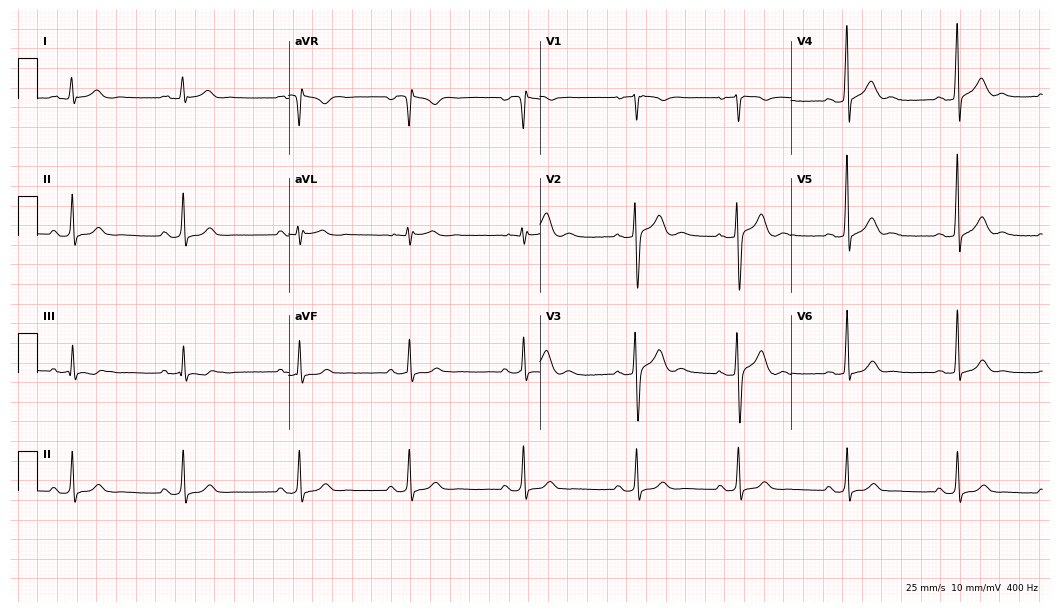
12-lead ECG (10.2-second recording at 400 Hz) from a 27-year-old male patient. Labelled as a normal ECG.